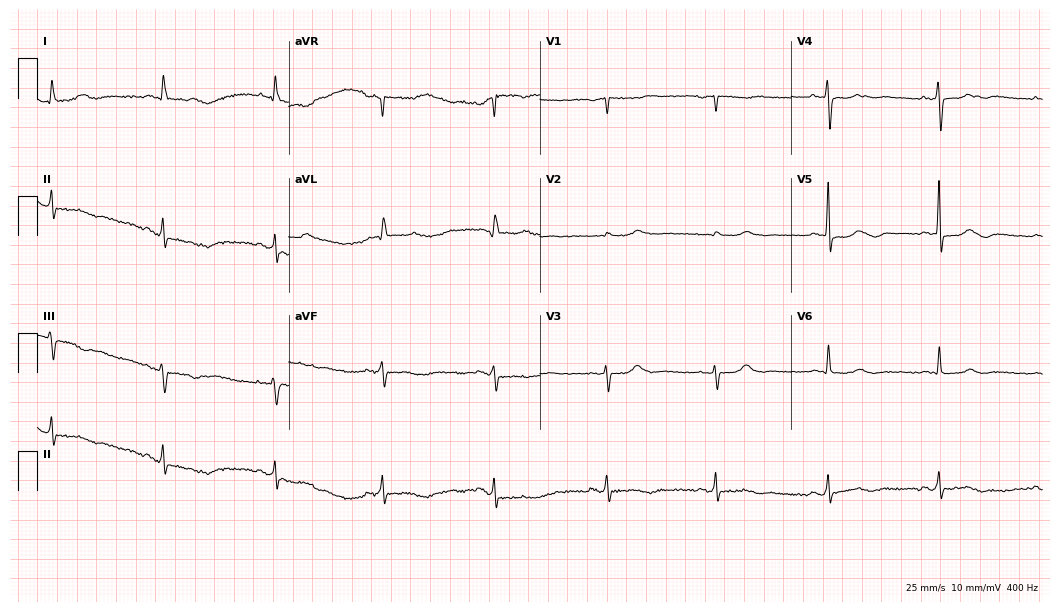
Standard 12-lead ECG recorded from a 69-year-old female patient (10.2-second recording at 400 Hz). Read as a normal ECG.